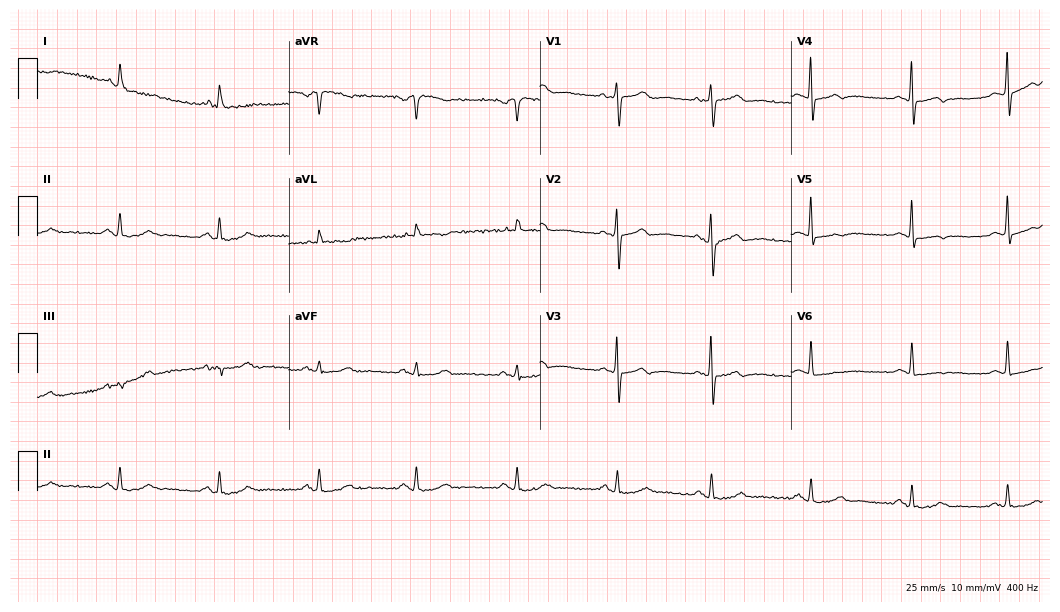
Standard 12-lead ECG recorded from a female, 77 years old (10.2-second recording at 400 Hz). None of these six findings is recorded: first-degree AV block, right bundle branch block (RBBB), left bundle branch block (LBBB), sinus bradycardia, atrial fibrillation (AF), sinus tachycardia.